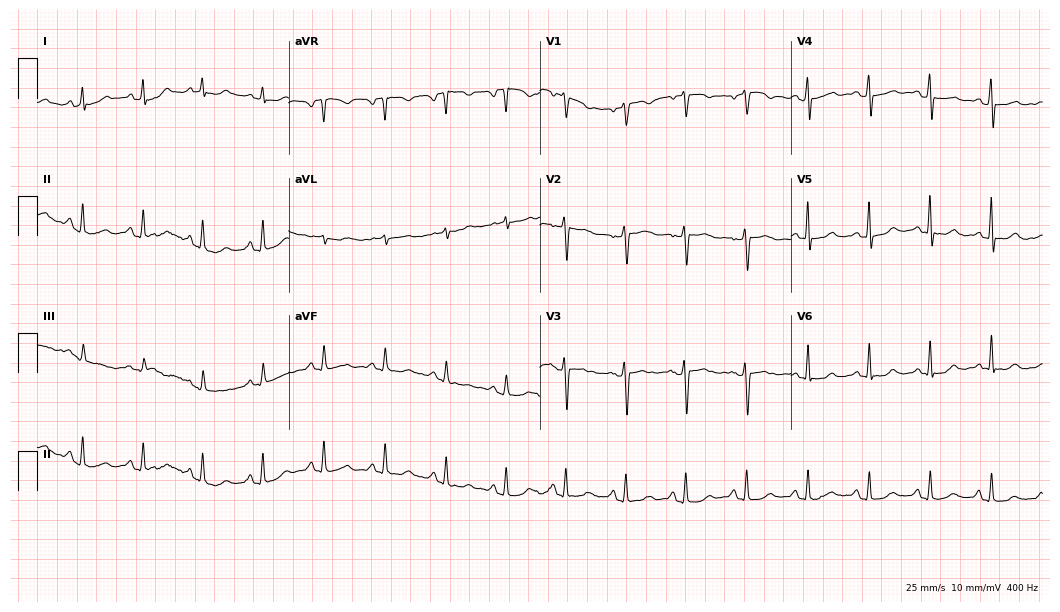
ECG — a 46-year-old woman. Labelled as a normal ECG.